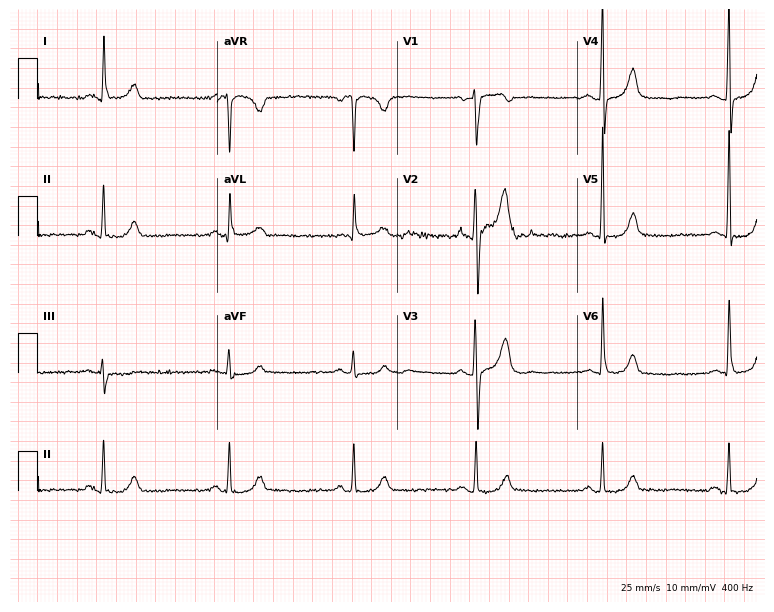
Electrocardiogram, a male patient, 69 years old. Interpretation includes sinus bradycardia (a sinus rate of 50 beats per minute or less).